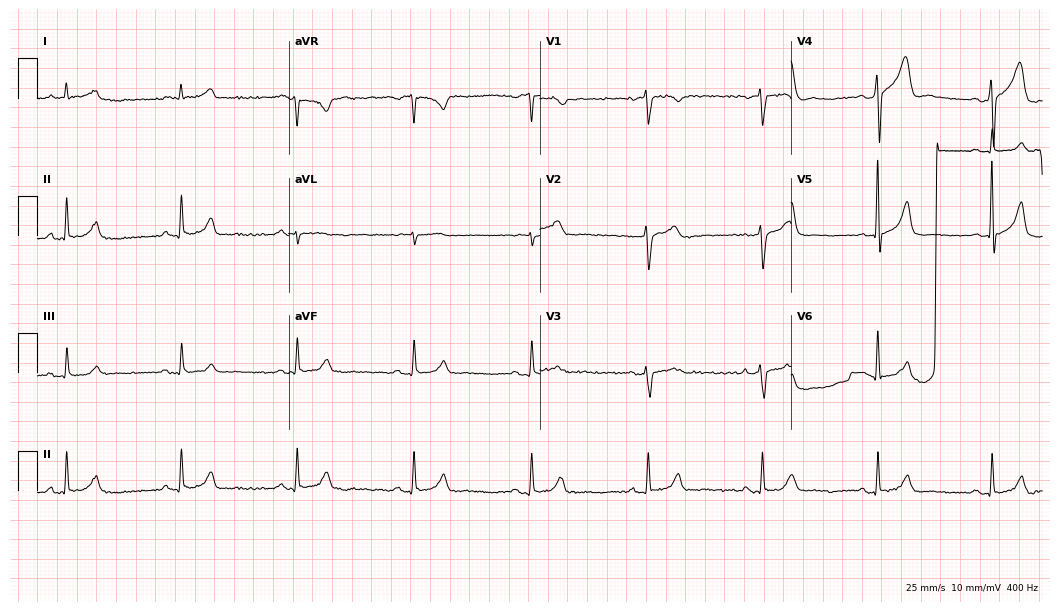
Electrocardiogram, a man, 70 years old. Overall reading on record: normal ECG.